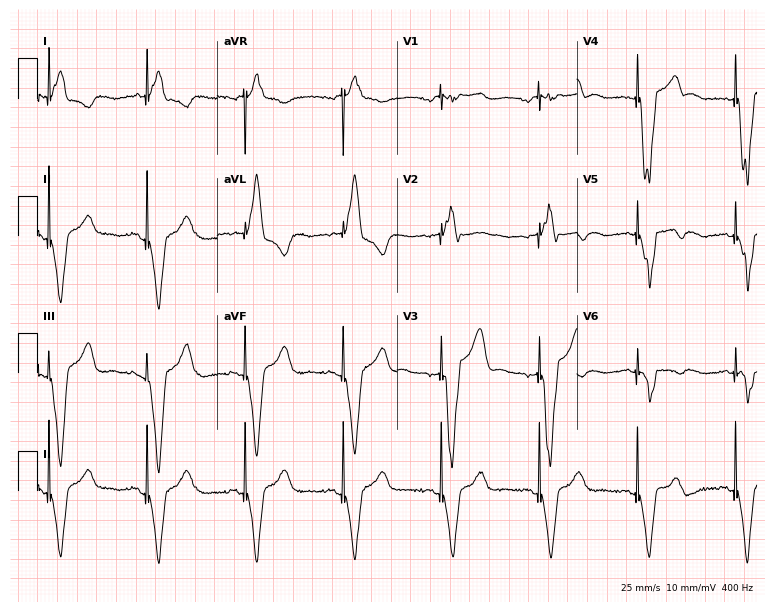
Resting 12-lead electrocardiogram (7.3-second recording at 400 Hz). Patient: a 68-year-old man. None of these six findings is recorded: first-degree AV block, right bundle branch block, left bundle branch block, sinus bradycardia, atrial fibrillation, sinus tachycardia. Other findings, if any, are not listed.